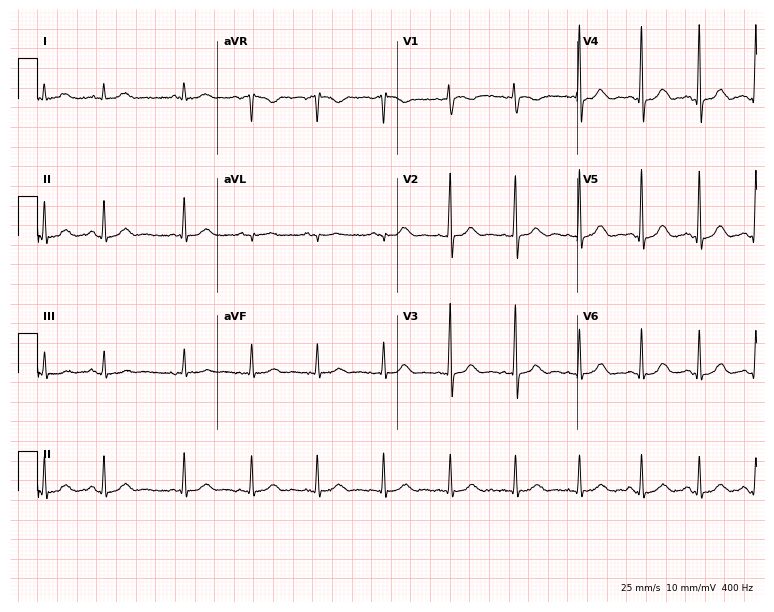
Electrocardiogram, a 28-year-old female. Overall reading on record: normal ECG.